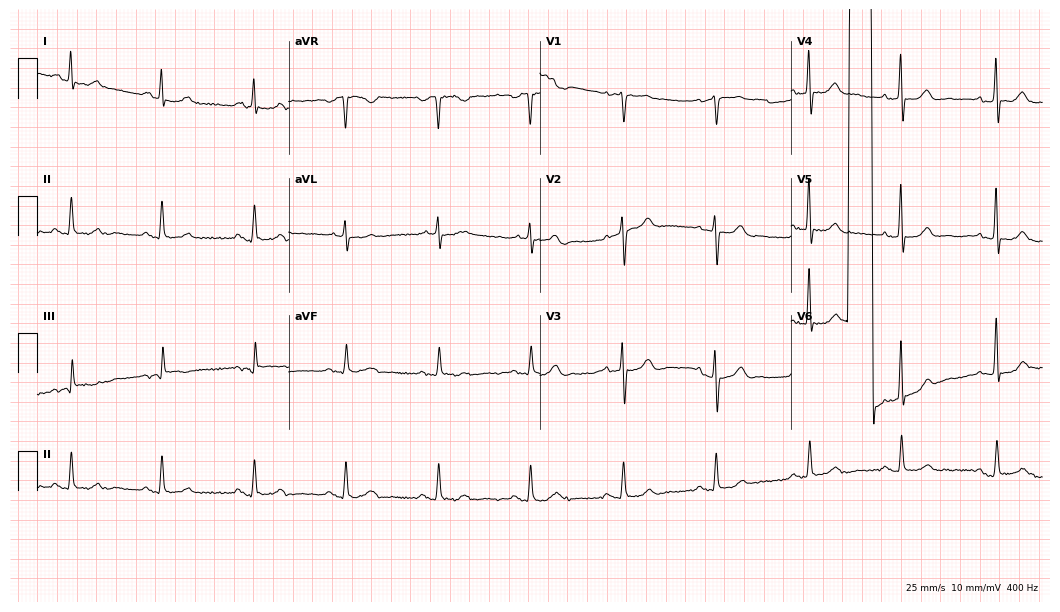
12-lead ECG from a male patient, 73 years old. No first-degree AV block, right bundle branch block, left bundle branch block, sinus bradycardia, atrial fibrillation or sinus tachycardia recorded for this tracing.